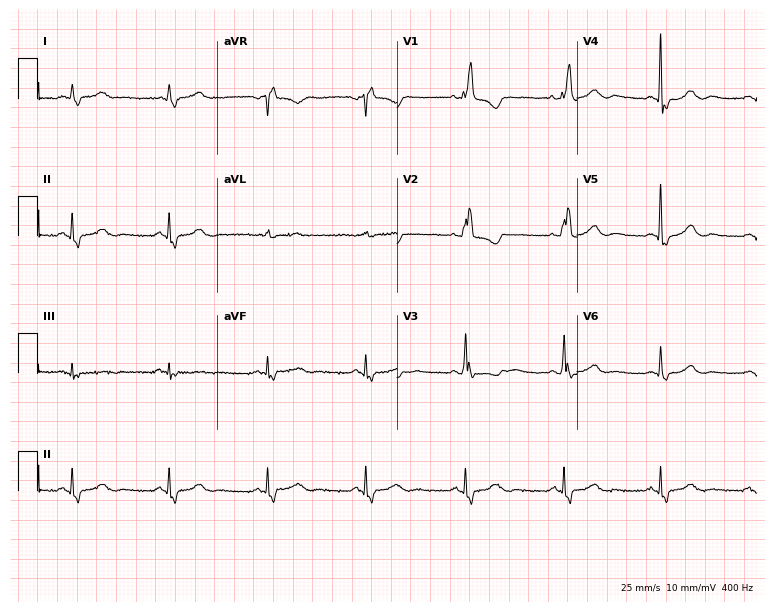
Standard 12-lead ECG recorded from a female, 75 years old. The tracing shows right bundle branch block (RBBB).